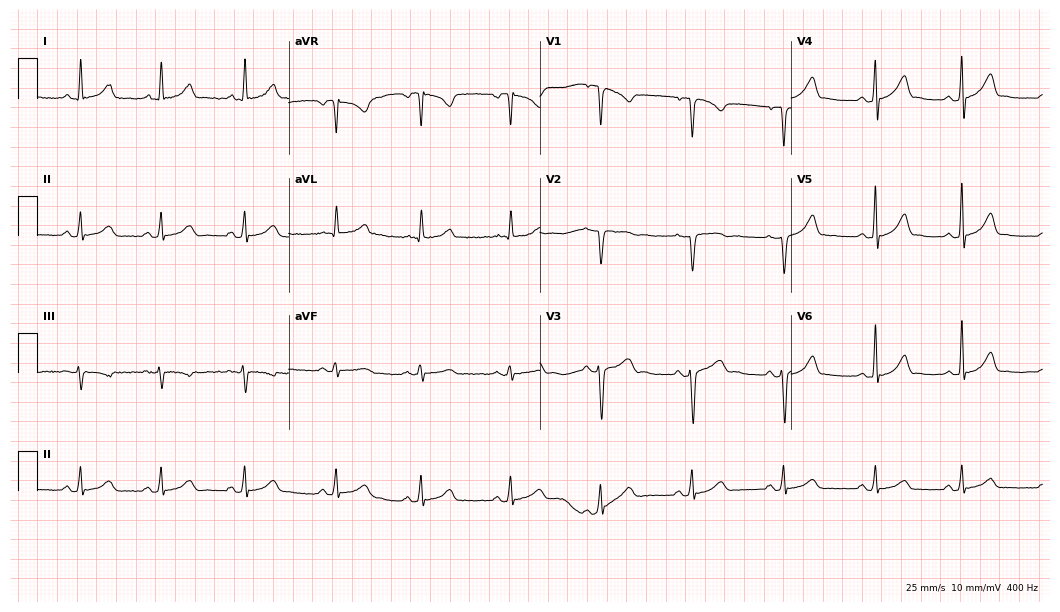
Standard 12-lead ECG recorded from a female patient, 39 years old (10.2-second recording at 400 Hz). Read as a normal ECG.